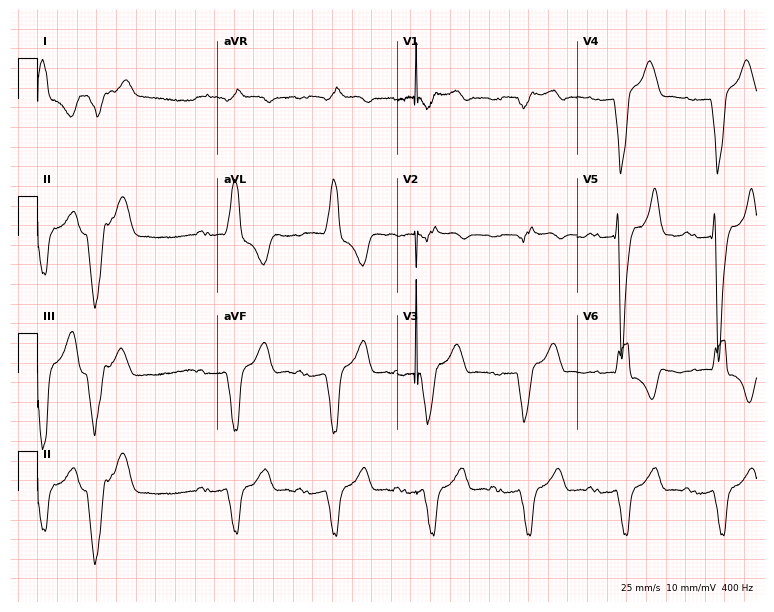
Standard 12-lead ECG recorded from an 89-year-old man. None of these six findings is recorded: first-degree AV block, right bundle branch block (RBBB), left bundle branch block (LBBB), sinus bradycardia, atrial fibrillation (AF), sinus tachycardia. Other findings, if any, are not listed.